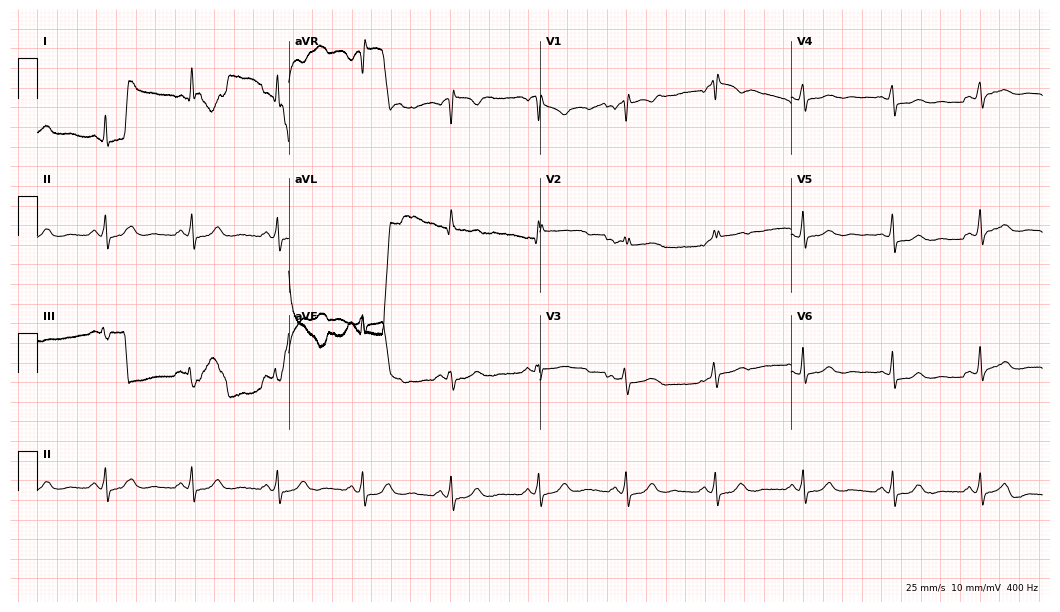
Resting 12-lead electrocardiogram (10.2-second recording at 400 Hz). Patient: a woman, 57 years old. None of these six findings is recorded: first-degree AV block, right bundle branch block, left bundle branch block, sinus bradycardia, atrial fibrillation, sinus tachycardia.